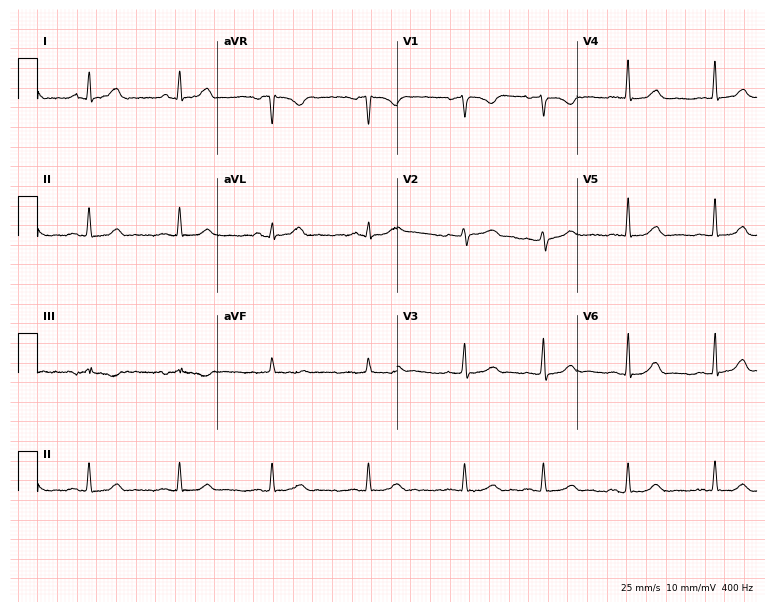
12-lead ECG (7.3-second recording at 400 Hz) from a female patient, 35 years old. Screened for six findings — first-degree AV block, right bundle branch block, left bundle branch block, sinus bradycardia, atrial fibrillation, sinus tachycardia — none is recorded.